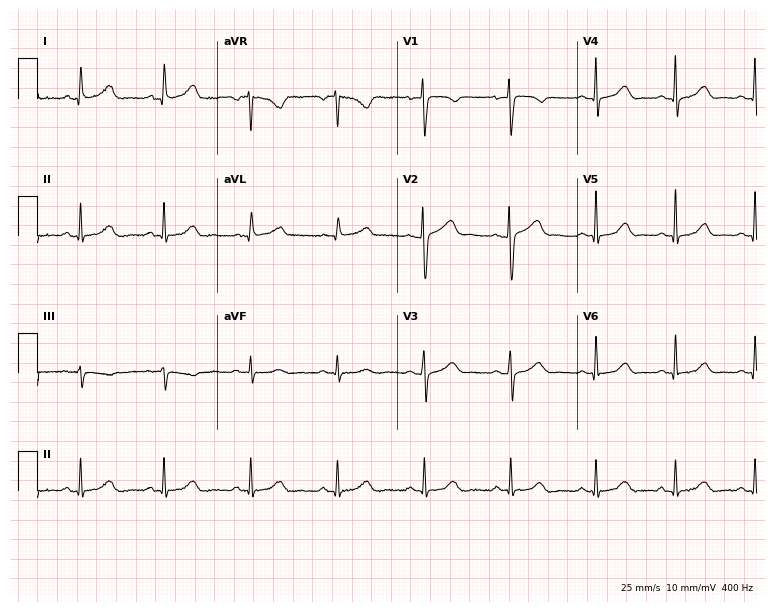
Electrocardiogram, a 50-year-old female. Overall reading on record: normal ECG.